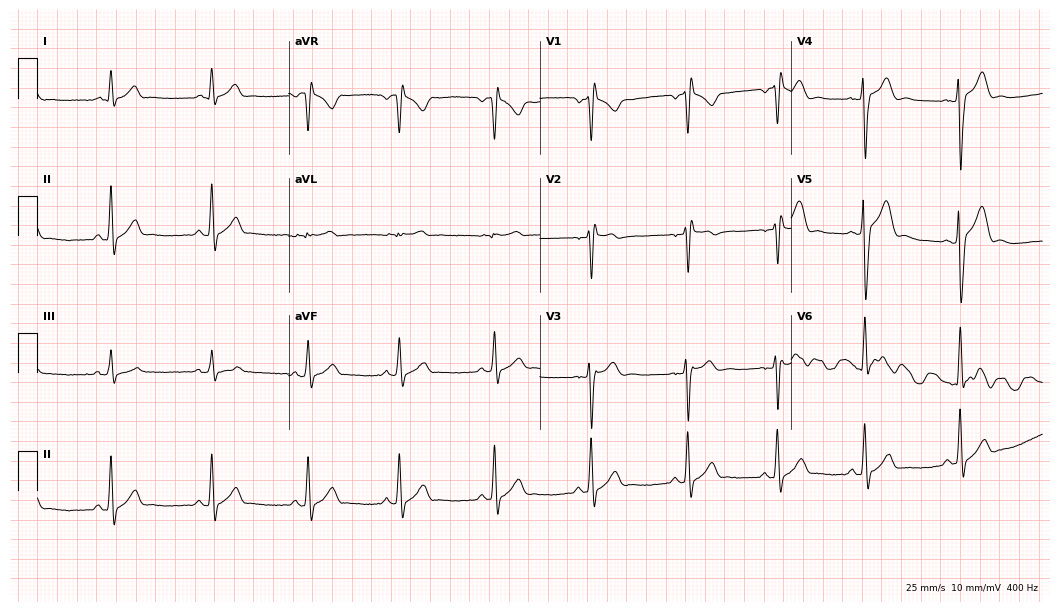
12-lead ECG from a male, 34 years old. Screened for six findings — first-degree AV block, right bundle branch block (RBBB), left bundle branch block (LBBB), sinus bradycardia, atrial fibrillation (AF), sinus tachycardia — none is recorded.